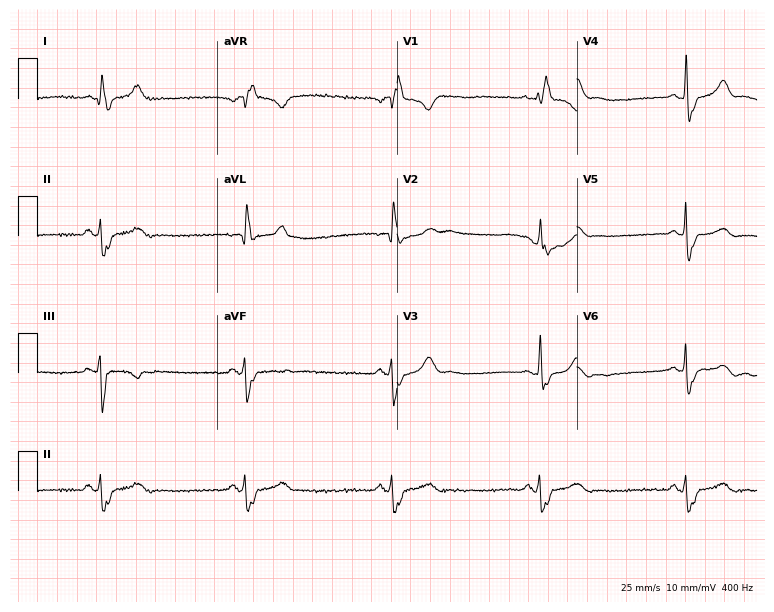
Resting 12-lead electrocardiogram. Patient: a female, 43 years old. The tracing shows right bundle branch block, sinus bradycardia (a sinus rate of 50 beats per minute or less).